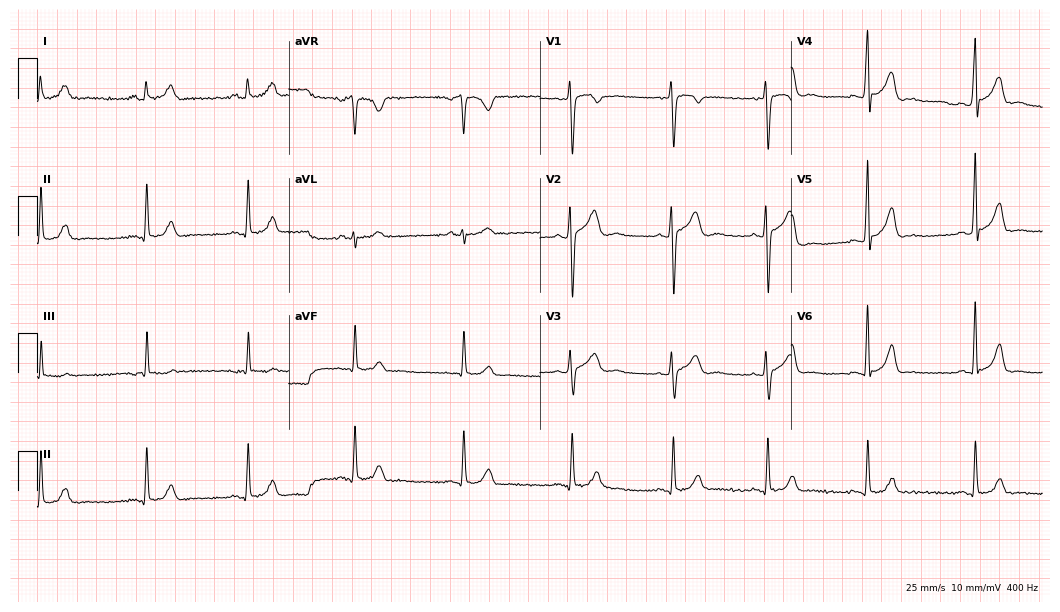
Standard 12-lead ECG recorded from a male, 26 years old. Read as a normal ECG.